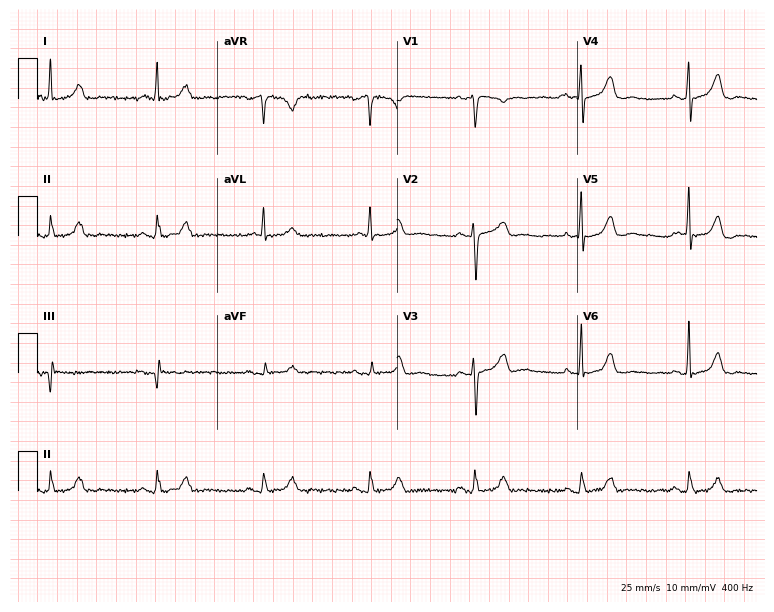
Standard 12-lead ECG recorded from a 78-year-old female patient (7.3-second recording at 400 Hz). Read as a normal ECG.